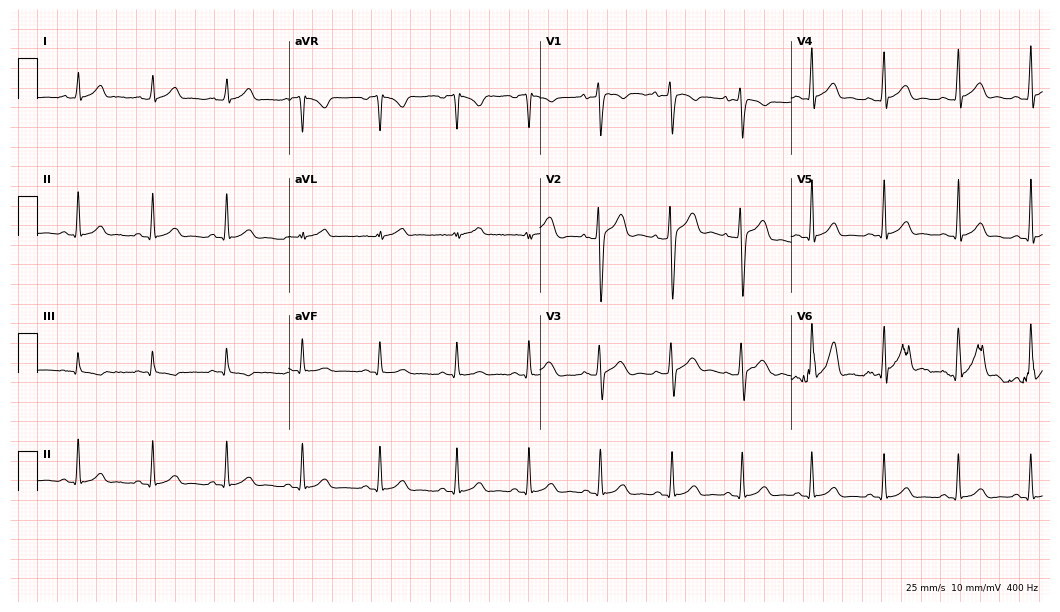
Electrocardiogram, a 22-year-old male. Overall reading on record: normal ECG.